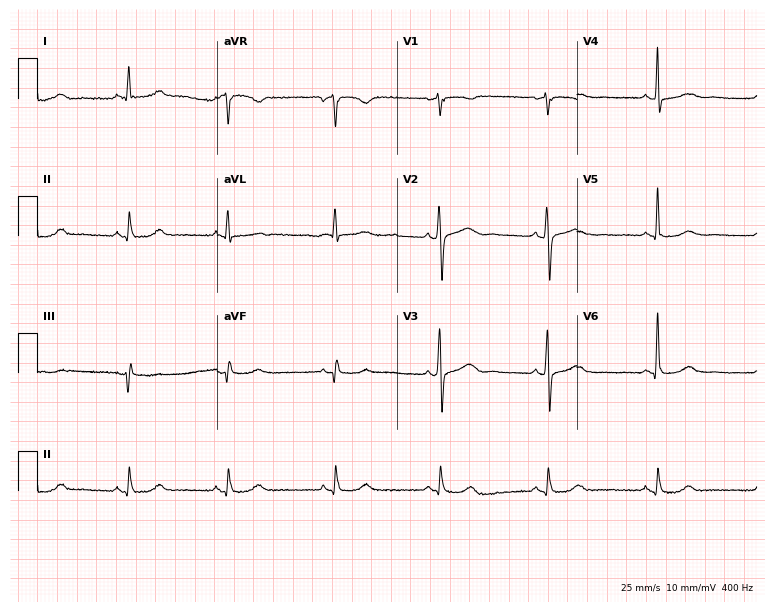
Electrocardiogram, a 61-year-old female patient. Overall reading on record: normal ECG.